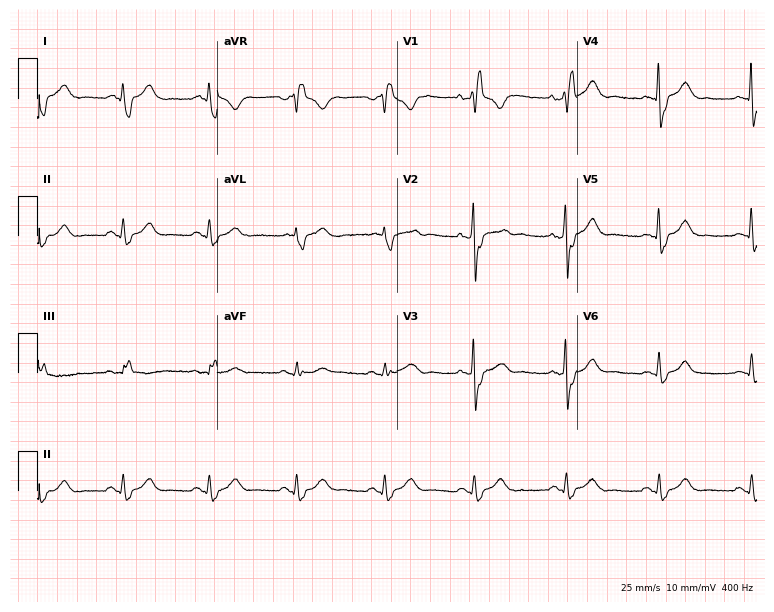
12-lead ECG from a man, 61 years old (7.3-second recording at 400 Hz). Shows right bundle branch block (RBBB).